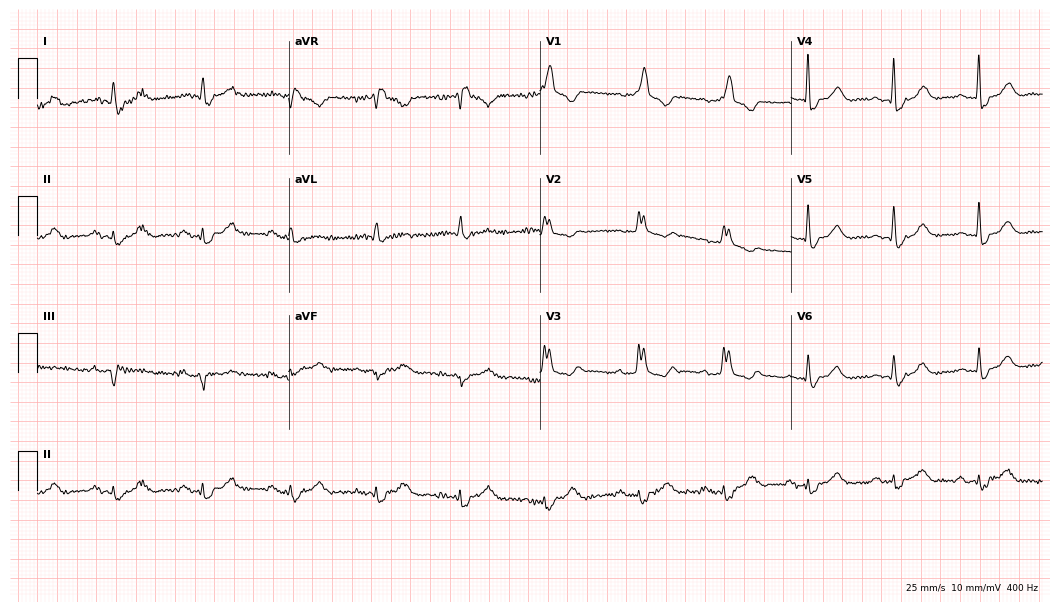
12-lead ECG from an 81-year-old female patient (10.2-second recording at 400 Hz). No first-degree AV block, right bundle branch block (RBBB), left bundle branch block (LBBB), sinus bradycardia, atrial fibrillation (AF) or sinus tachycardia recorded for this tracing.